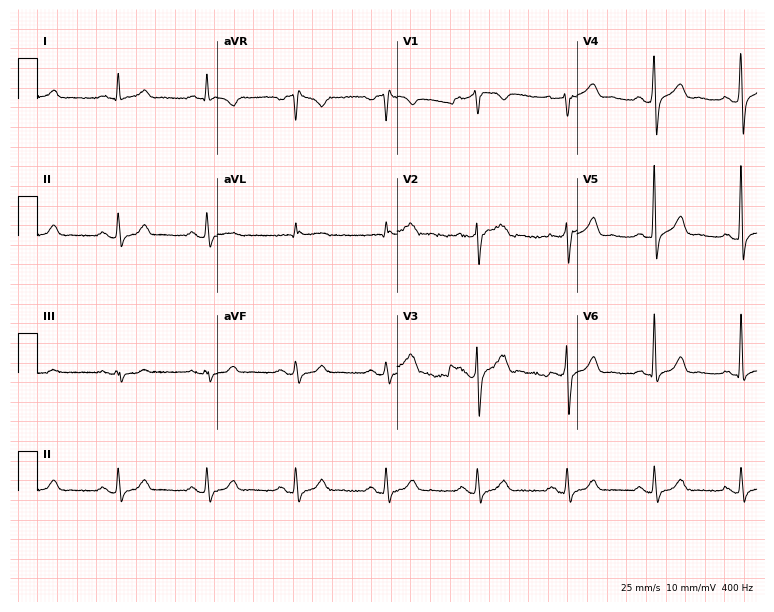
Electrocardiogram (7.3-second recording at 400 Hz), a man, 63 years old. Overall reading on record: normal ECG.